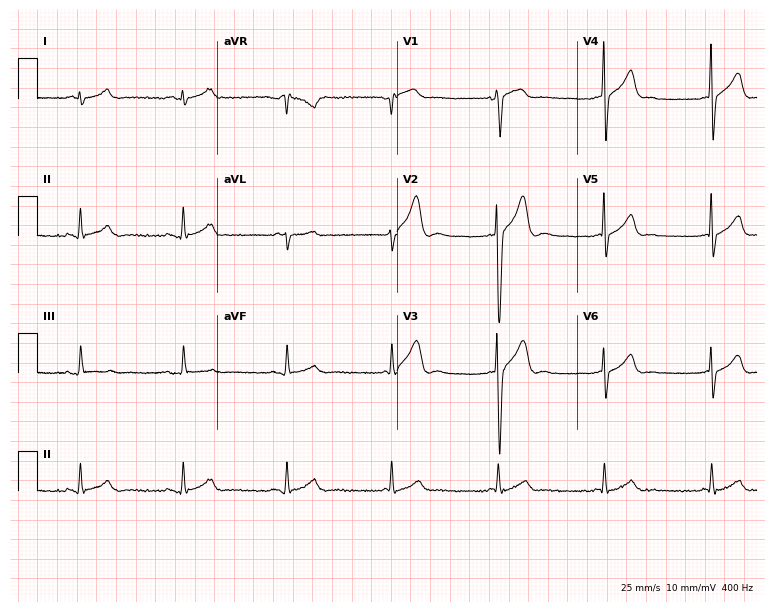
Standard 12-lead ECG recorded from a 25-year-old male (7.3-second recording at 400 Hz). None of these six findings is recorded: first-degree AV block, right bundle branch block, left bundle branch block, sinus bradycardia, atrial fibrillation, sinus tachycardia. Only these six findings were labelled.